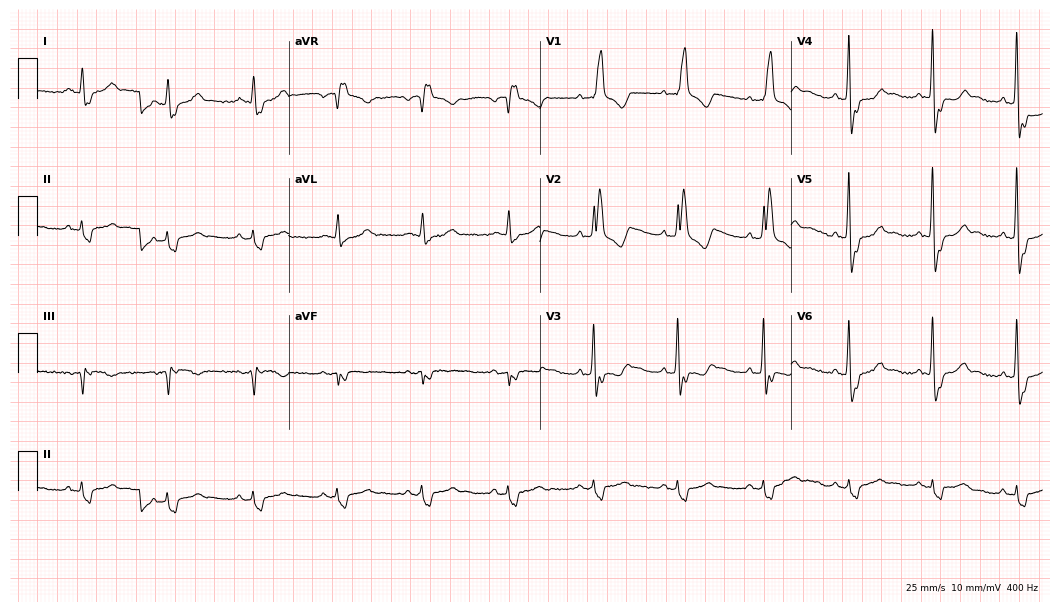
12-lead ECG (10.2-second recording at 400 Hz) from a man, 80 years old. Findings include right bundle branch block.